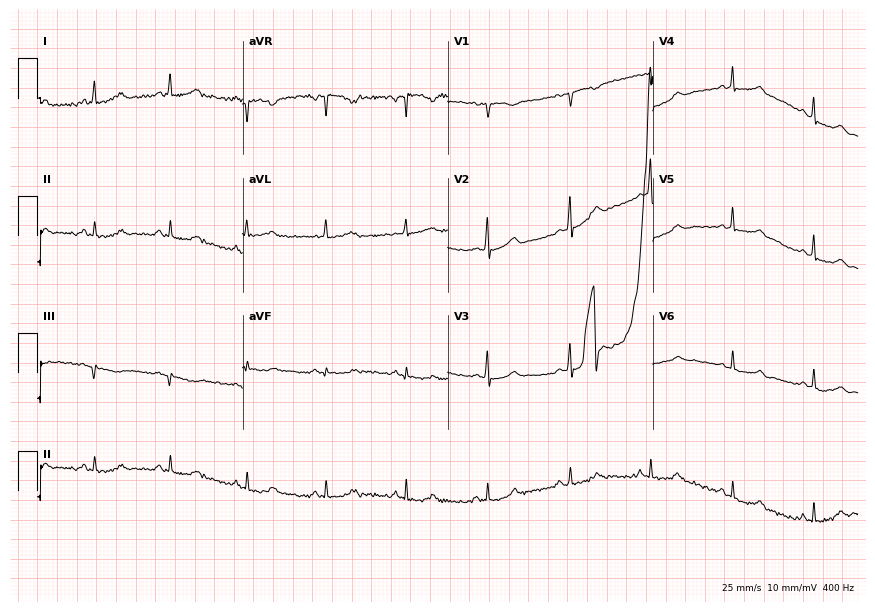
Electrocardiogram, a female patient, 49 years old. Of the six screened findings (first-degree AV block, right bundle branch block (RBBB), left bundle branch block (LBBB), sinus bradycardia, atrial fibrillation (AF), sinus tachycardia), none is recorded. Other findings, if any, are not listed.